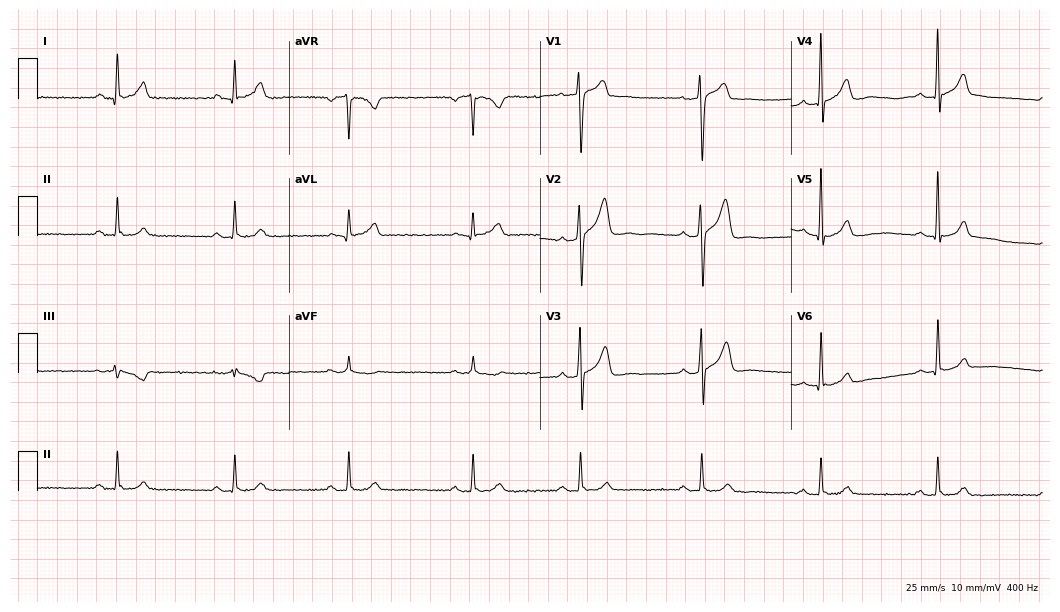
Electrocardiogram, a 51-year-old male patient. Overall reading on record: normal ECG.